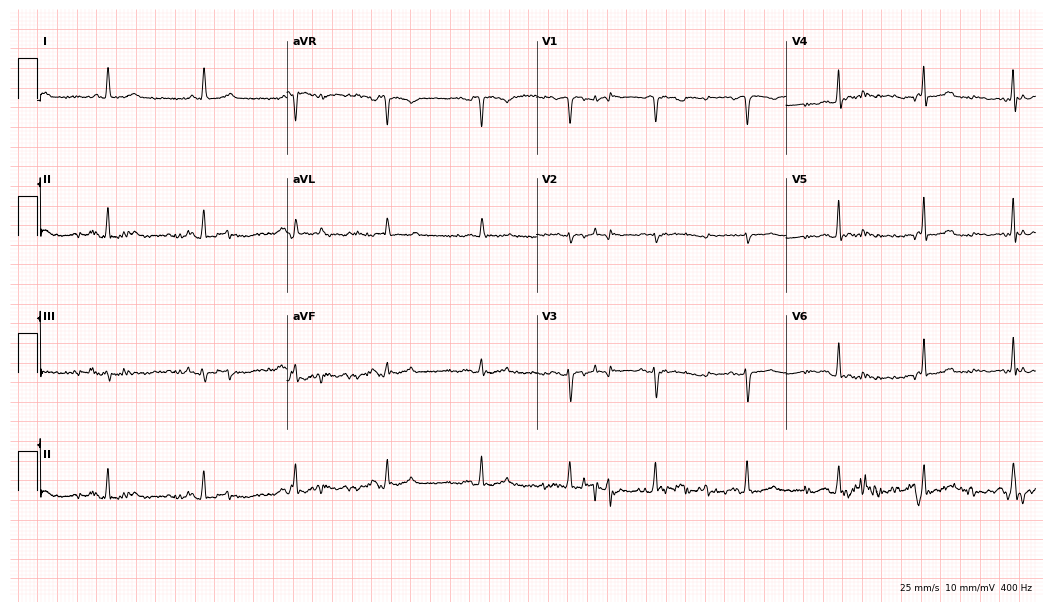
Resting 12-lead electrocardiogram (10.2-second recording at 400 Hz). Patient: an 82-year-old woman. None of these six findings is recorded: first-degree AV block, right bundle branch block, left bundle branch block, sinus bradycardia, atrial fibrillation, sinus tachycardia. Other findings, if any, are not listed.